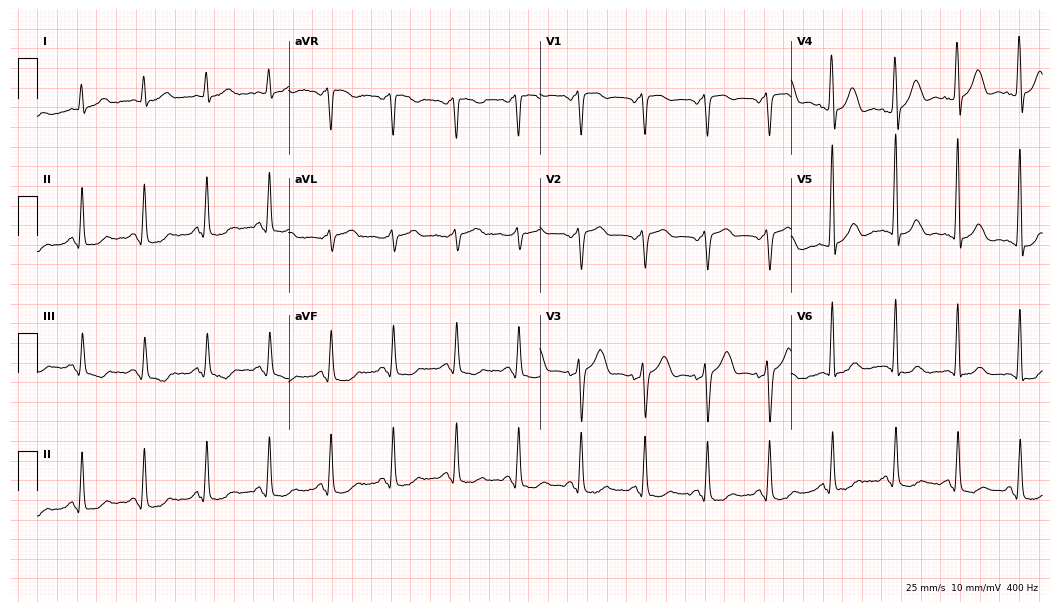
Electrocardiogram, a 65-year-old male. Overall reading on record: normal ECG.